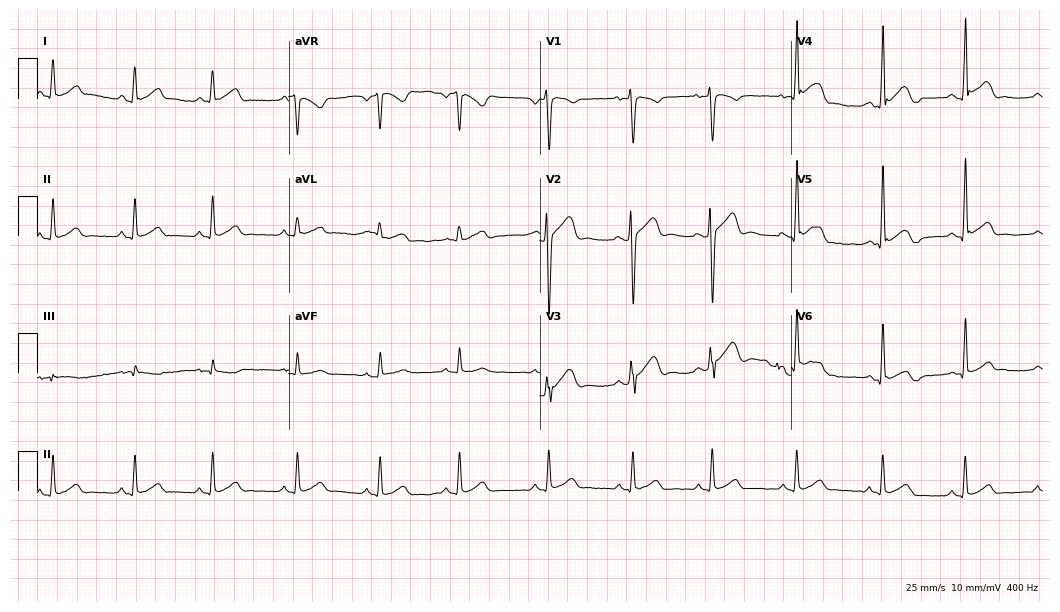
Electrocardiogram, a 32-year-old male. Overall reading on record: normal ECG.